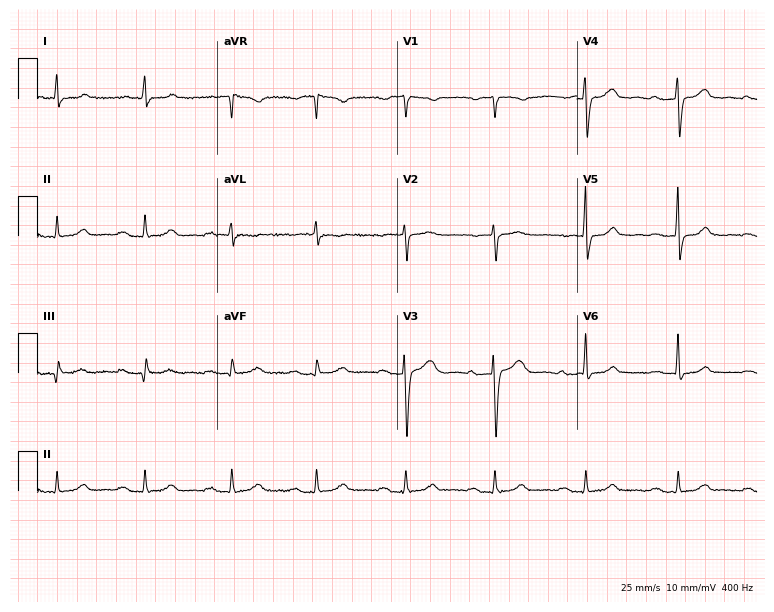
Standard 12-lead ECG recorded from a female patient, 63 years old (7.3-second recording at 400 Hz). The tracing shows first-degree AV block.